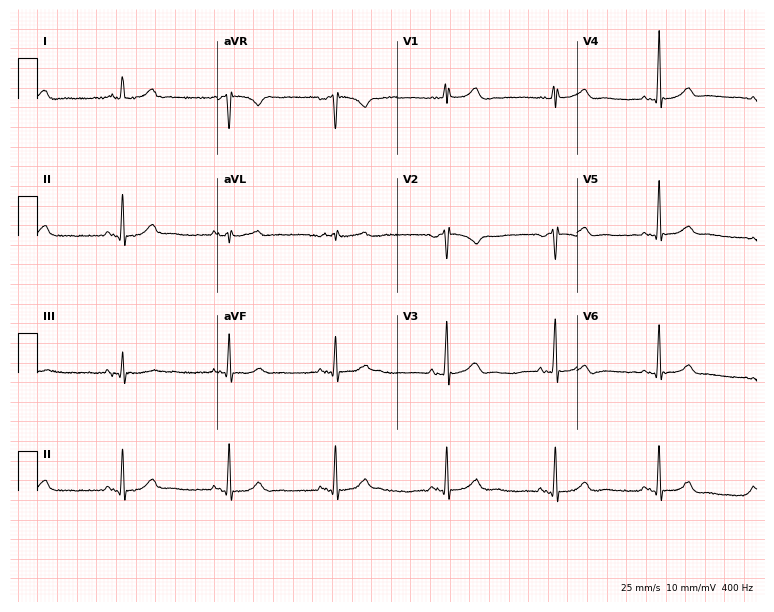
Standard 12-lead ECG recorded from a 74-year-old woman (7.3-second recording at 400 Hz). None of these six findings is recorded: first-degree AV block, right bundle branch block, left bundle branch block, sinus bradycardia, atrial fibrillation, sinus tachycardia. Other findings, if any, are not listed.